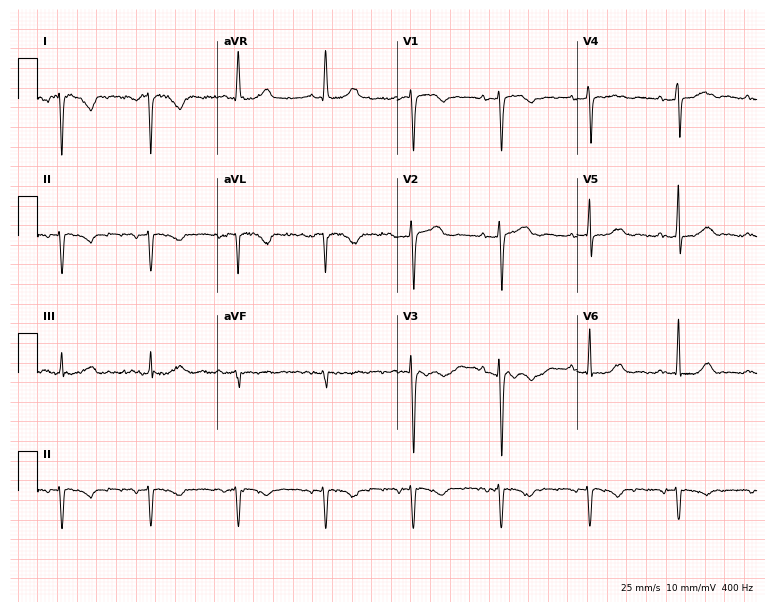
12-lead ECG (7.3-second recording at 400 Hz) from a female patient, 74 years old. Screened for six findings — first-degree AV block, right bundle branch block, left bundle branch block, sinus bradycardia, atrial fibrillation, sinus tachycardia — none is recorded.